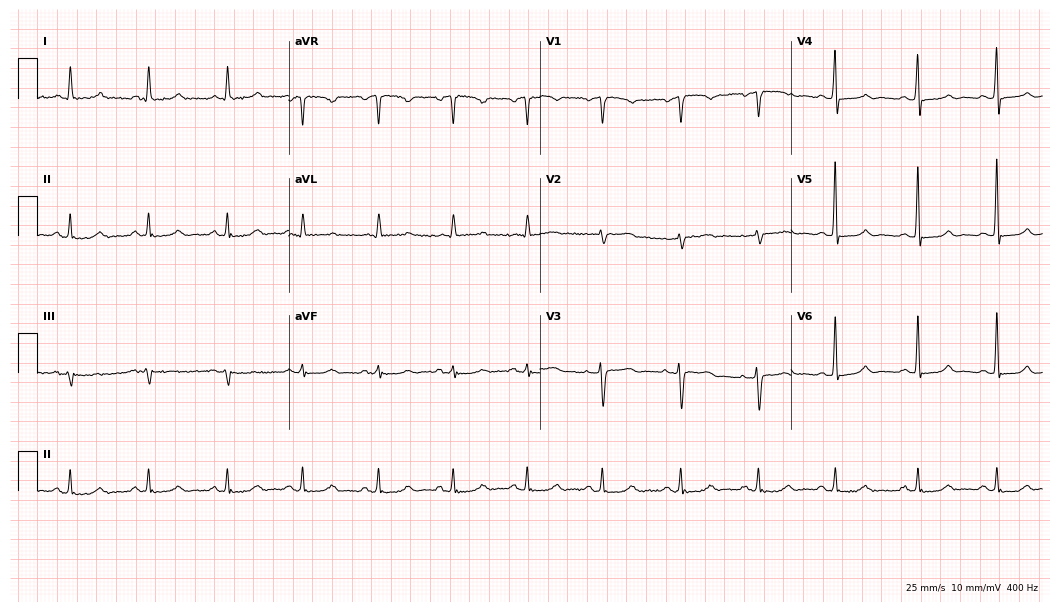
ECG (10.2-second recording at 400 Hz) — a woman, 69 years old. Labelled as a normal ECG.